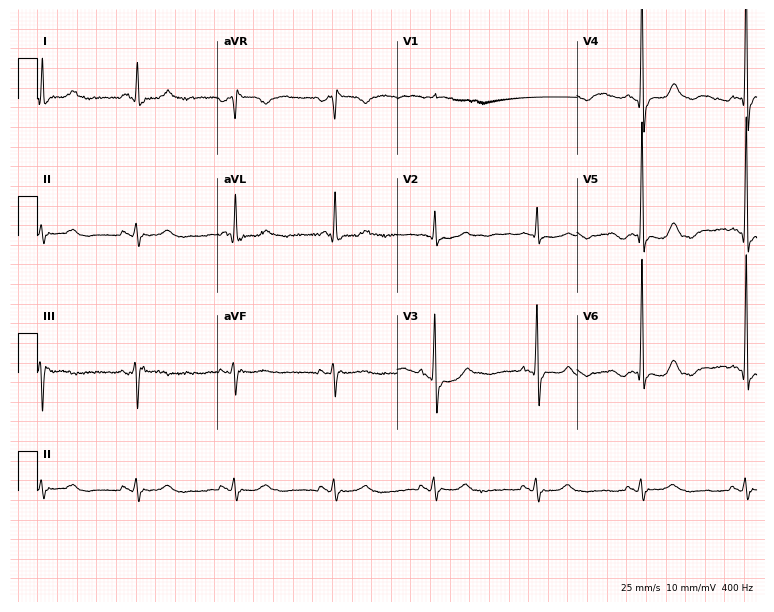
12-lead ECG from a male, 58 years old. Screened for six findings — first-degree AV block, right bundle branch block, left bundle branch block, sinus bradycardia, atrial fibrillation, sinus tachycardia — none is recorded. Findings outside these six are not listed.